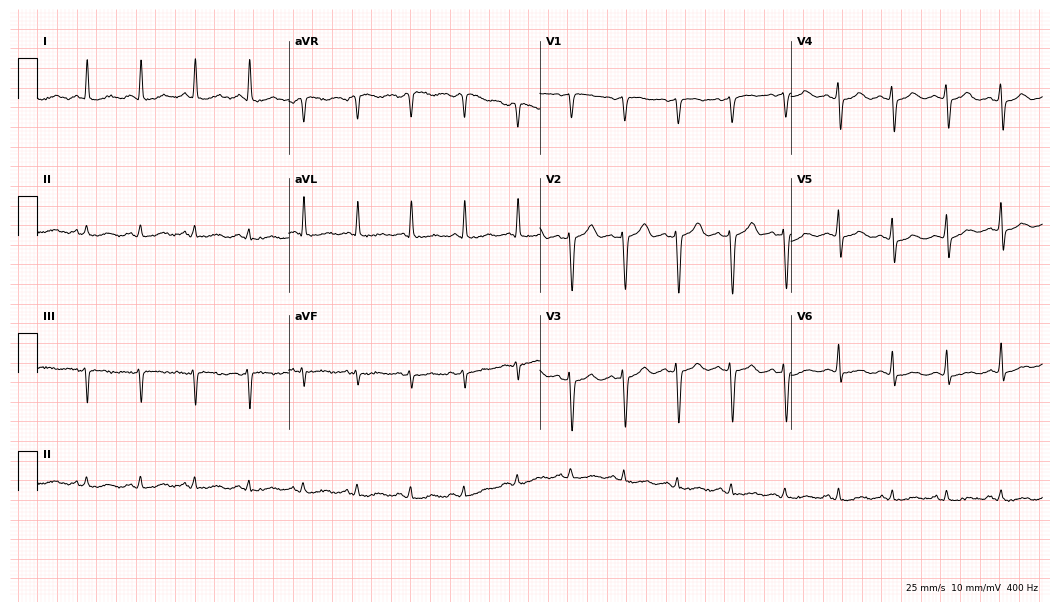
ECG — a woman, 59 years old. Findings include sinus tachycardia (a sinus rate of 100 beats per minute or more).